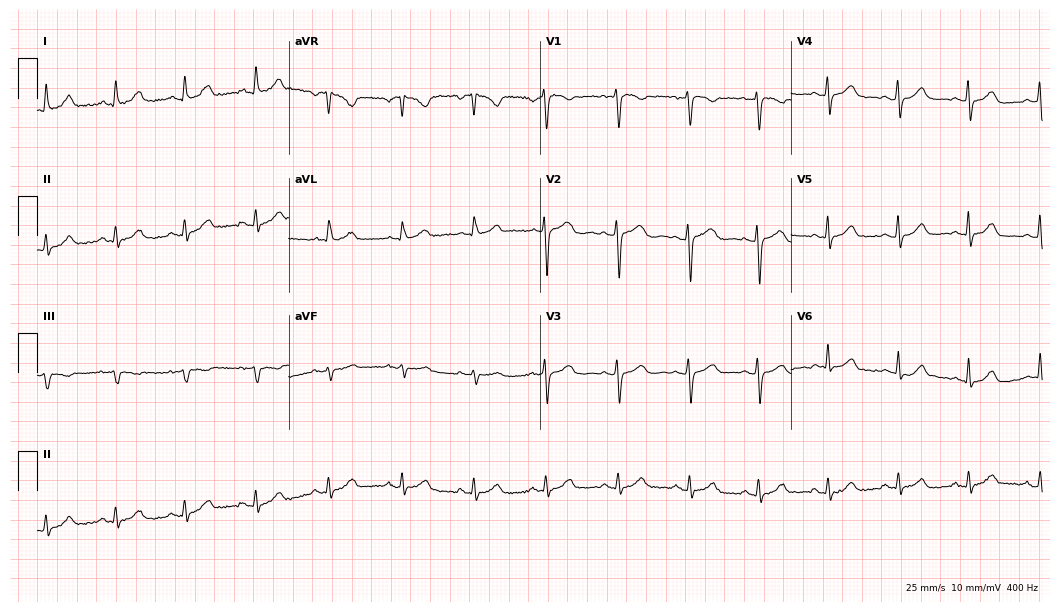
ECG — a female, 46 years old. Labelled as a normal ECG.